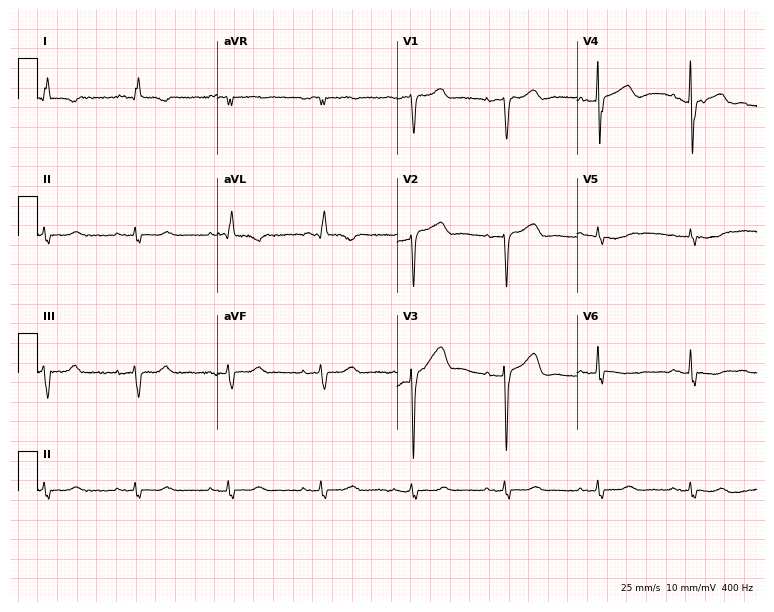
Electrocardiogram, an 83-year-old male. Of the six screened findings (first-degree AV block, right bundle branch block, left bundle branch block, sinus bradycardia, atrial fibrillation, sinus tachycardia), none is recorded.